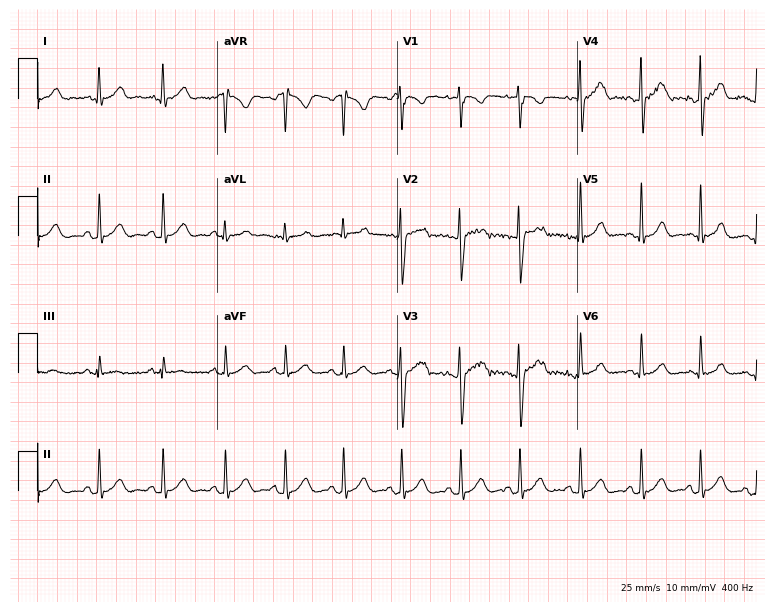
Standard 12-lead ECG recorded from a 22-year-old male. Read as a normal ECG.